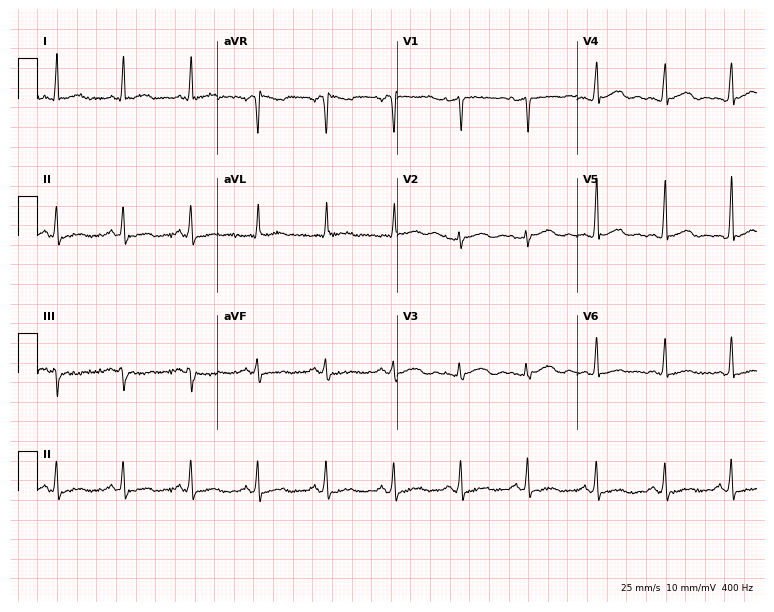
Standard 12-lead ECG recorded from a 55-year-old female patient. None of these six findings is recorded: first-degree AV block, right bundle branch block, left bundle branch block, sinus bradycardia, atrial fibrillation, sinus tachycardia. Findings outside these six are not listed.